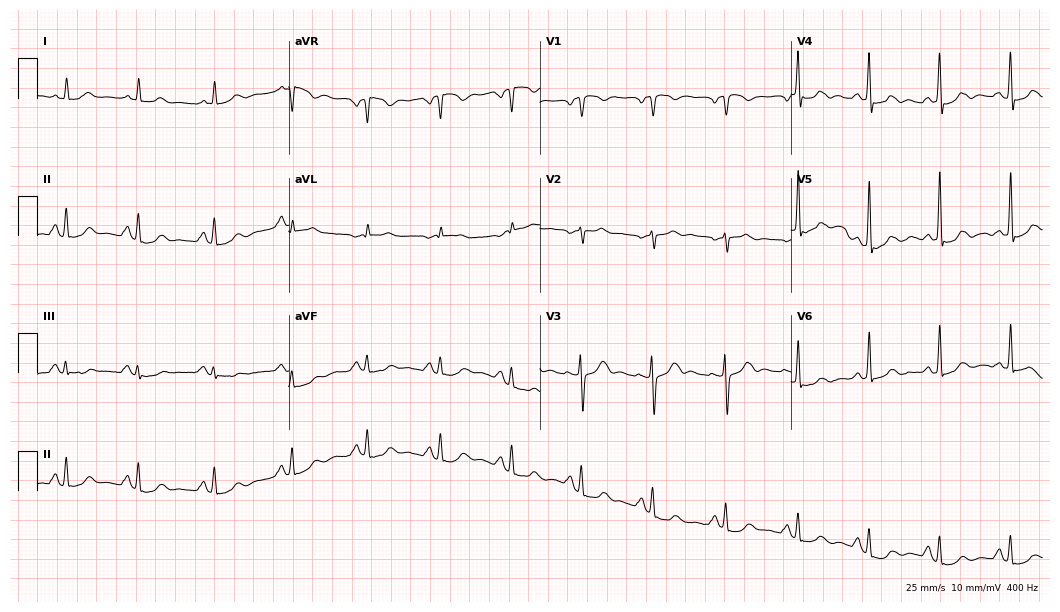
12-lead ECG from a 53-year-old man (10.2-second recording at 400 Hz). No first-degree AV block, right bundle branch block, left bundle branch block, sinus bradycardia, atrial fibrillation or sinus tachycardia recorded for this tracing. Findings outside these six are not listed.